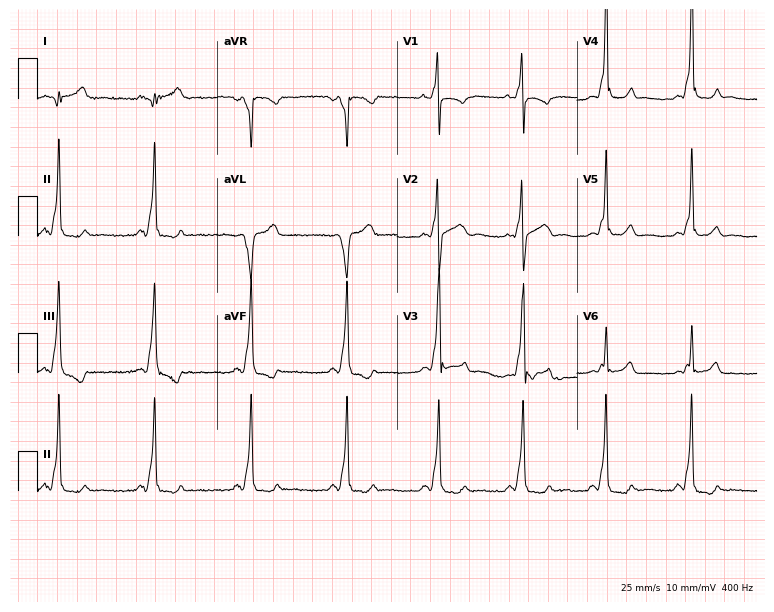
ECG (7.3-second recording at 400 Hz) — a 24-year-old male patient. Screened for six findings — first-degree AV block, right bundle branch block (RBBB), left bundle branch block (LBBB), sinus bradycardia, atrial fibrillation (AF), sinus tachycardia — none is recorded.